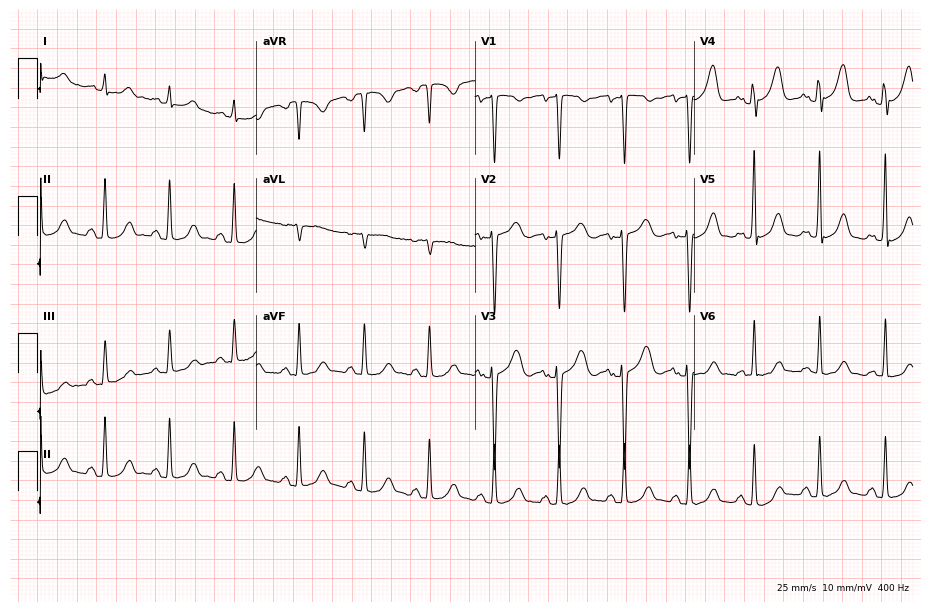
Electrocardiogram, a 48-year-old woman. Of the six screened findings (first-degree AV block, right bundle branch block, left bundle branch block, sinus bradycardia, atrial fibrillation, sinus tachycardia), none is recorded. Only these six findings were labelled.